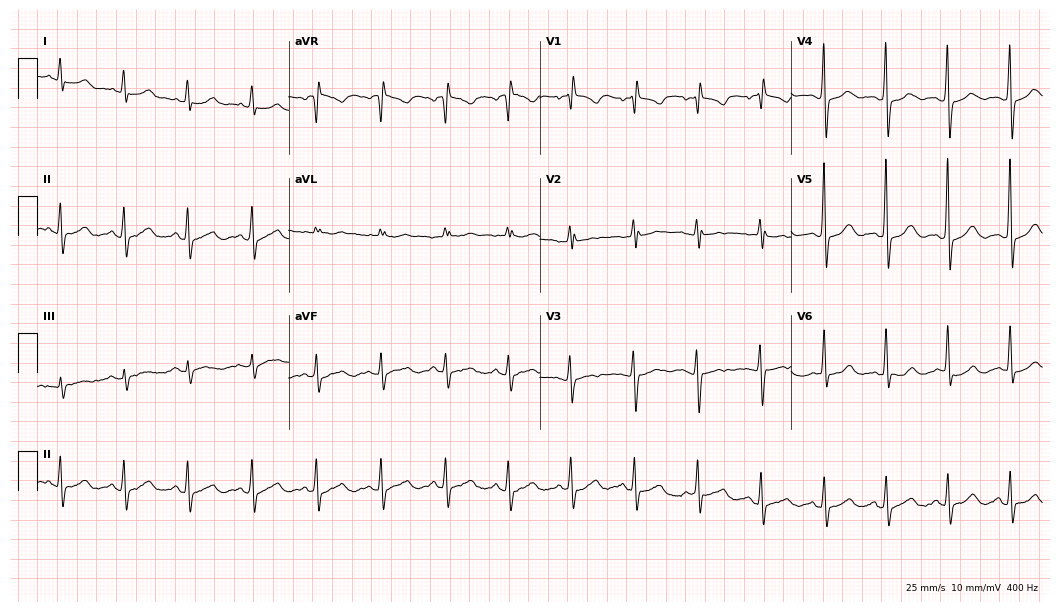
ECG (10.2-second recording at 400 Hz) — a 56-year-old female patient. Labelled as a normal ECG.